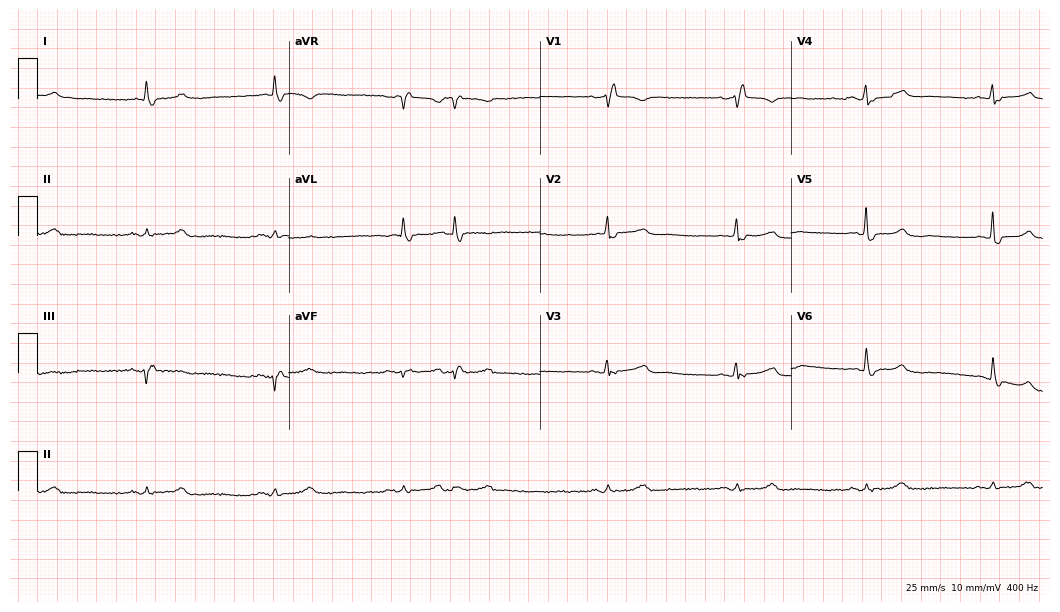
12-lead ECG from an 80-year-old female (10.2-second recording at 400 Hz). No first-degree AV block, right bundle branch block, left bundle branch block, sinus bradycardia, atrial fibrillation or sinus tachycardia recorded for this tracing. Only these six findings were labelled.